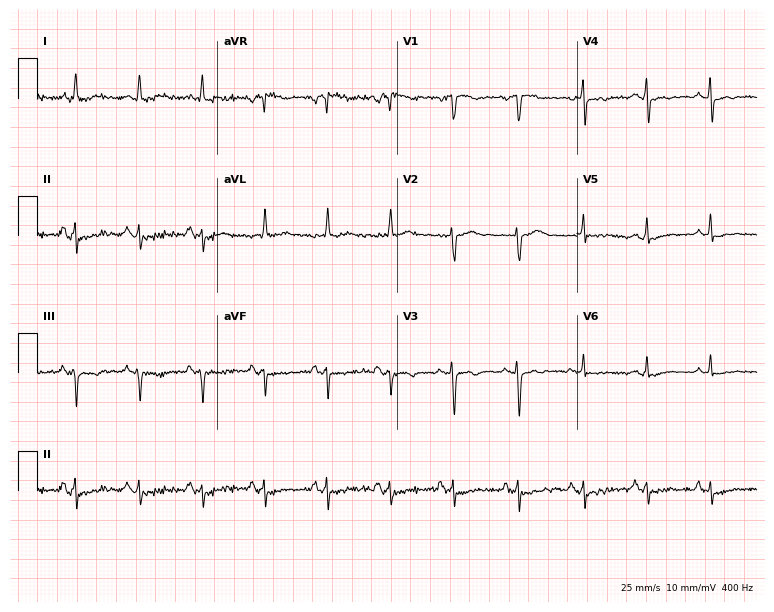
Electrocardiogram (7.3-second recording at 400 Hz), a woman, 50 years old. Of the six screened findings (first-degree AV block, right bundle branch block, left bundle branch block, sinus bradycardia, atrial fibrillation, sinus tachycardia), none is recorded. Findings outside these six are not listed.